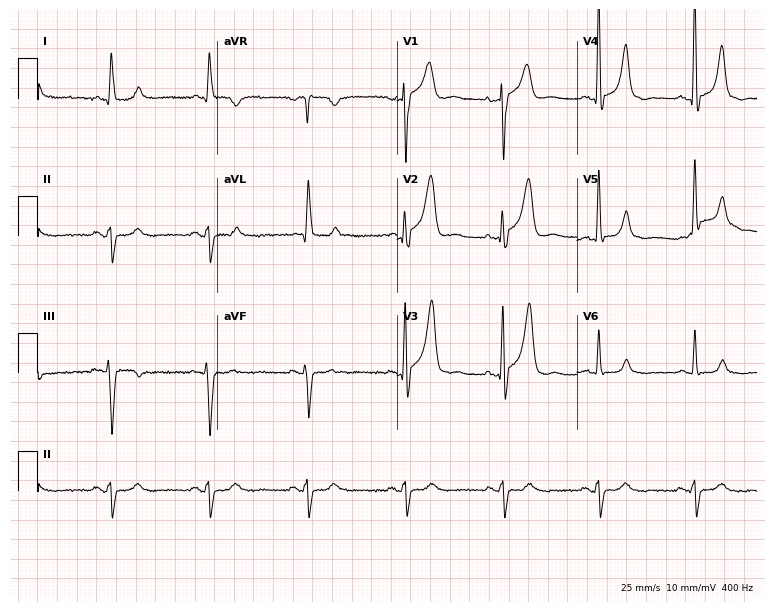
ECG (7.3-second recording at 400 Hz) — a 76-year-old male. Screened for six findings — first-degree AV block, right bundle branch block, left bundle branch block, sinus bradycardia, atrial fibrillation, sinus tachycardia — none is recorded.